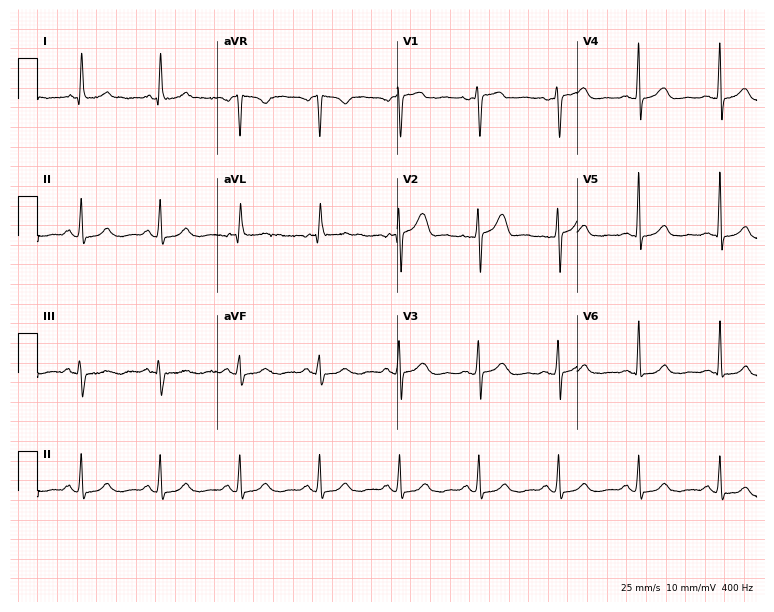
12-lead ECG from a female patient, 49 years old. Labelled as a normal ECG.